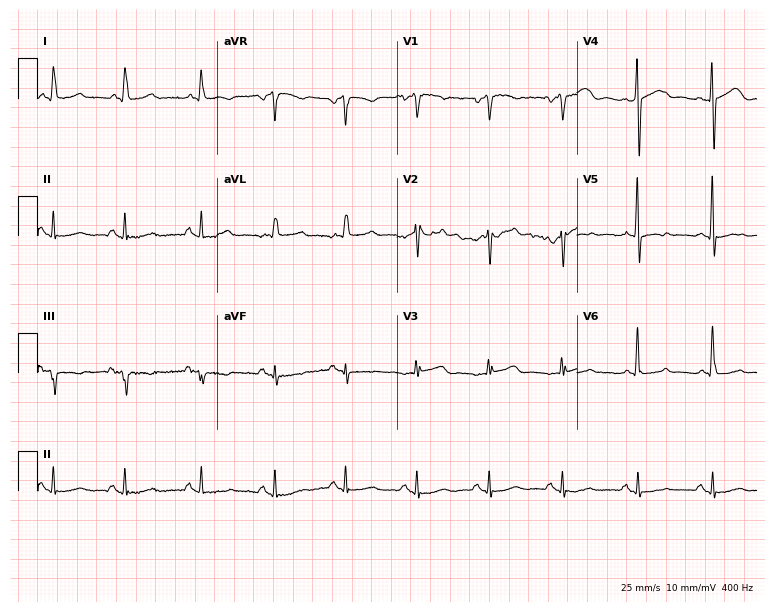
12-lead ECG from a 76-year-old female. Screened for six findings — first-degree AV block, right bundle branch block, left bundle branch block, sinus bradycardia, atrial fibrillation, sinus tachycardia — none is recorded. Other findings, if any, are not listed.